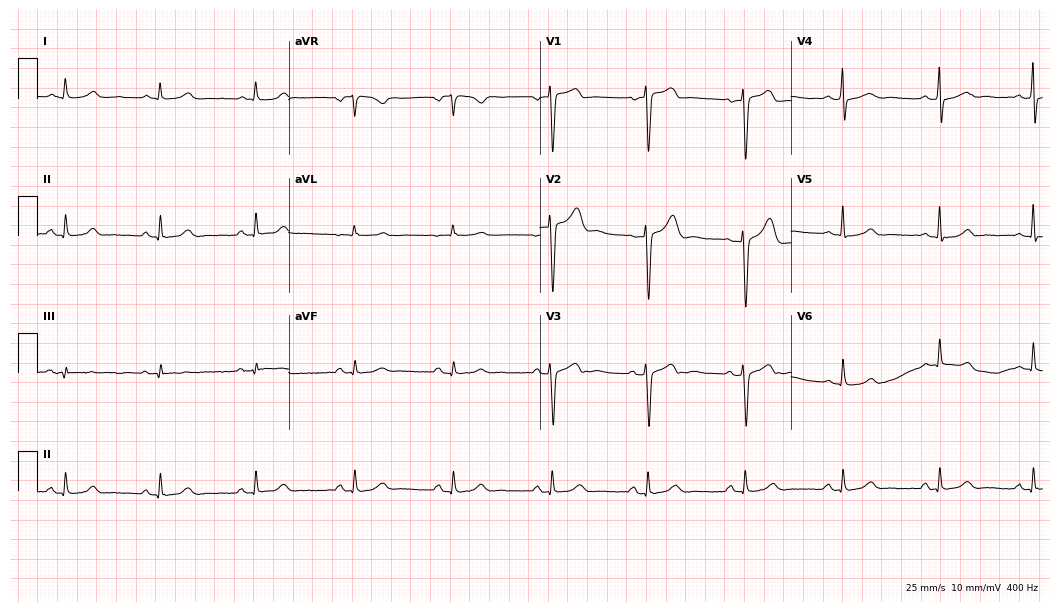
Electrocardiogram (10.2-second recording at 400 Hz), a female, 56 years old. Overall reading on record: normal ECG.